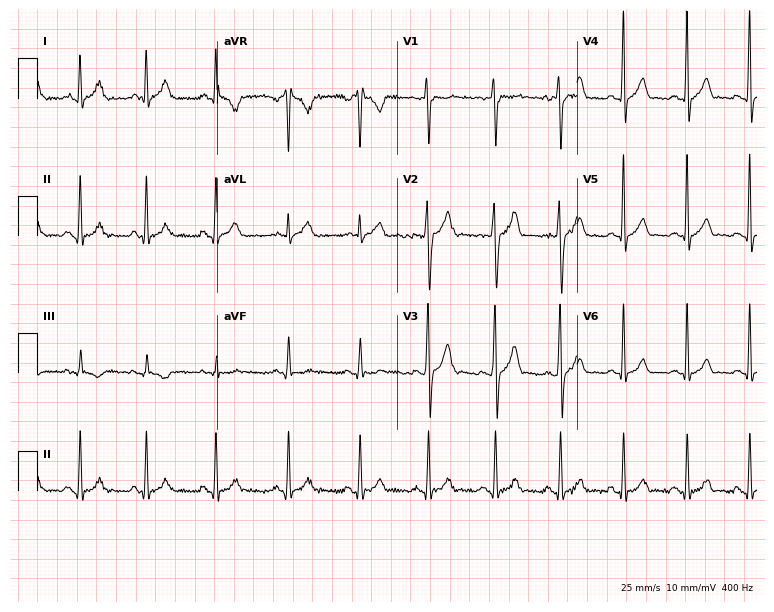
12-lead ECG (7.3-second recording at 400 Hz) from a 27-year-old male. Labelled as a normal ECG.